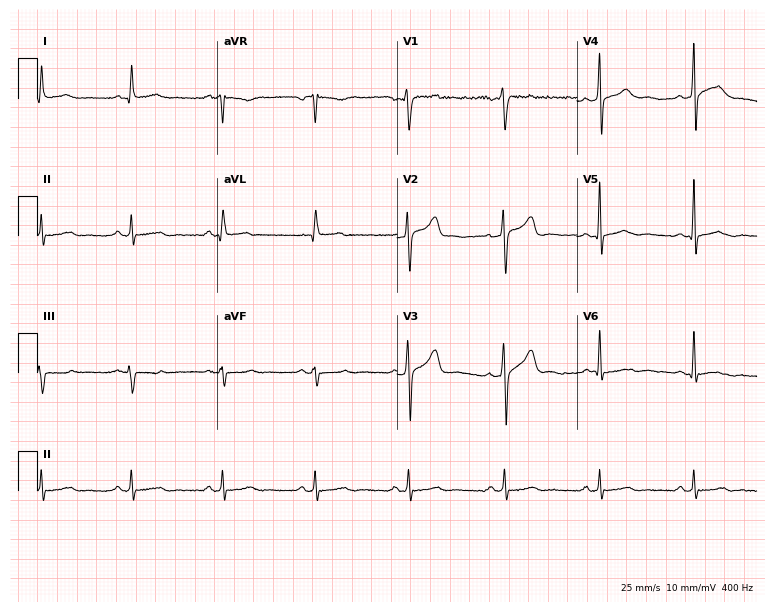
12-lead ECG (7.3-second recording at 400 Hz) from a 40-year-old male. Screened for six findings — first-degree AV block, right bundle branch block (RBBB), left bundle branch block (LBBB), sinus bradycardia, atrial fibrillation (AF), sinus tachycardia — none is recorded.